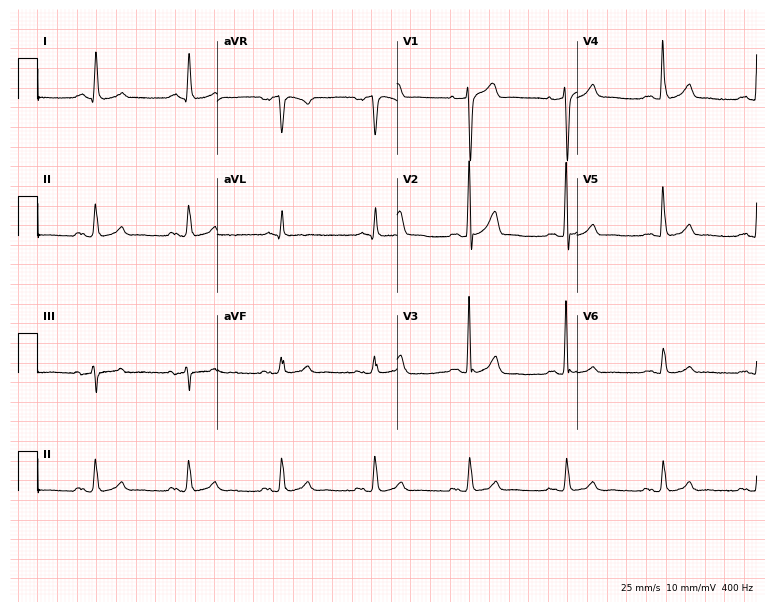
12-lead ECG from a male, 67 years old (7.3-second recording at 400 Hz). Recorded interpretation: within normal limits.